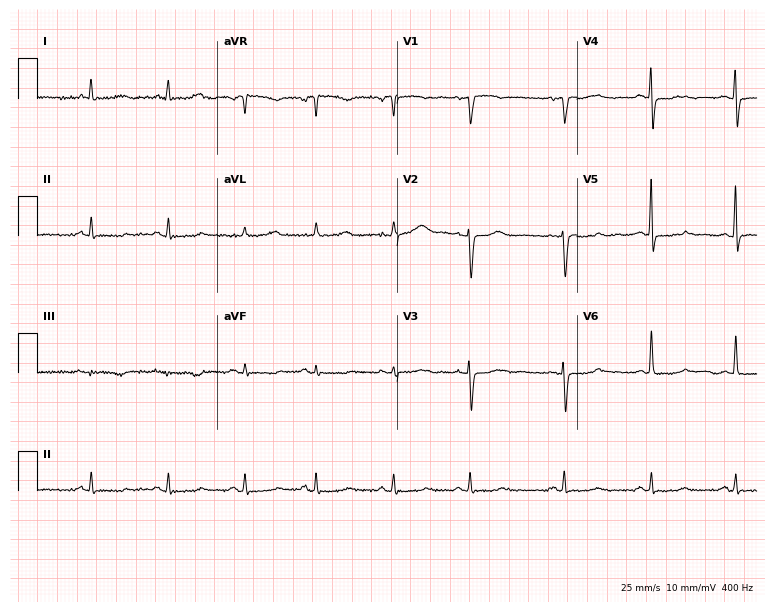
Standard 12-lead ECG recorded from a 79-year-old woman. None of these six findings is recorded: first-degree AV block, right bundle branch block, left bundle branch block, sinus bradycardia, atrial fibrillation, sinus tachycardia.